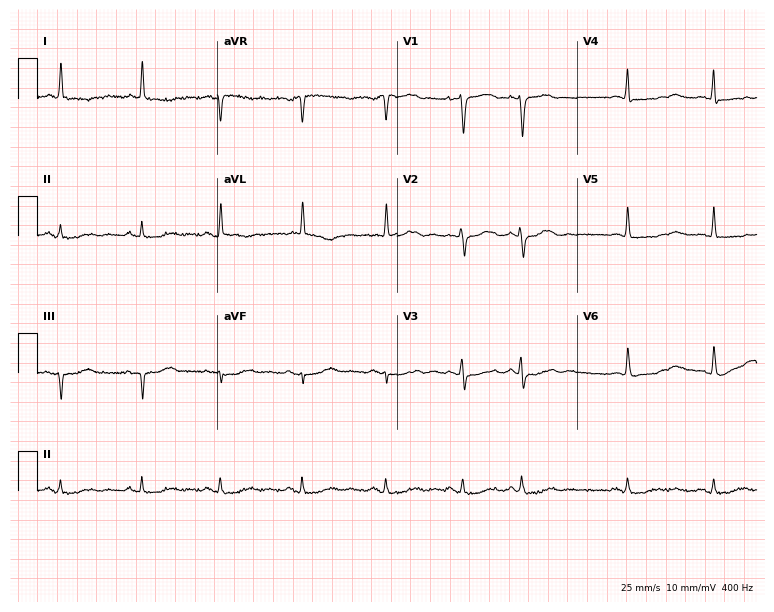
Resting 12-lead electrocardiogram. Patient: a woman, 82 years old. None of these six findings is recorded: first-degree AV block, right bundle branch block, left bundle branch block, sinus bradycardia, atrial fibrillation, sinus tachycardia.